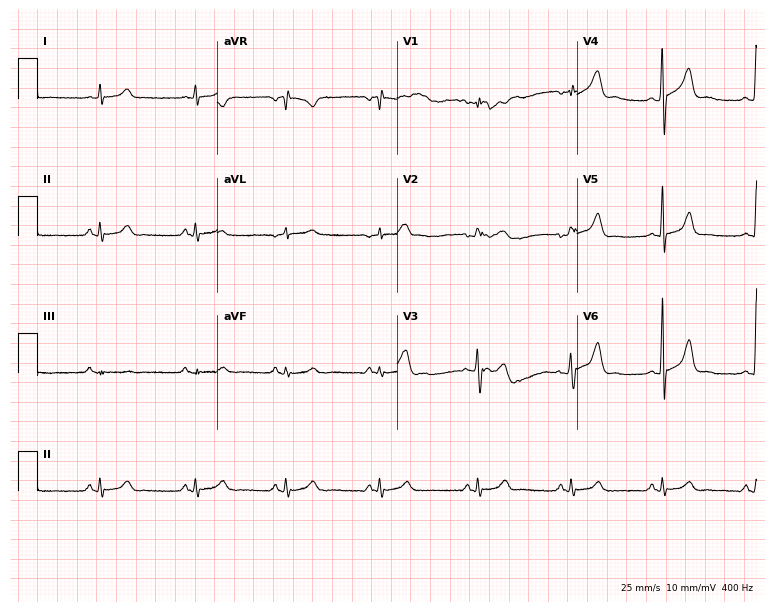
Resting 12-lead electrocardiogram. Patient: a 40-year-old man. None of these six findings is recorded: first-degree AV block, right bundle branch block, left bundle branch block, sinus bradycardia, atrial fibrillation, sinus tachycardia.